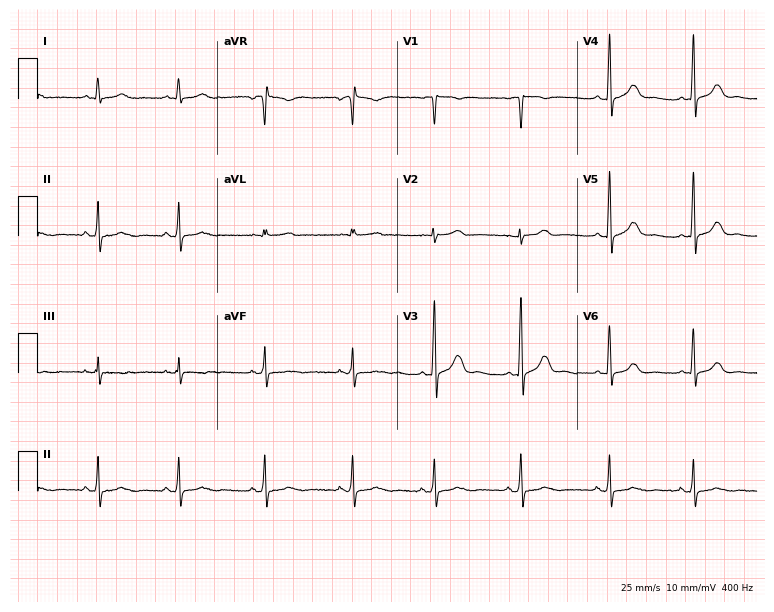
Electrocardiogram, a woman, 21 years old. Of the six screened findings (first-degree AV block, right bundle branch block (RBBB), left bundle branch block (LBBB), sinus bradycardia, atrial fibrillation (AF), sinus tachycardia), none is recorded.